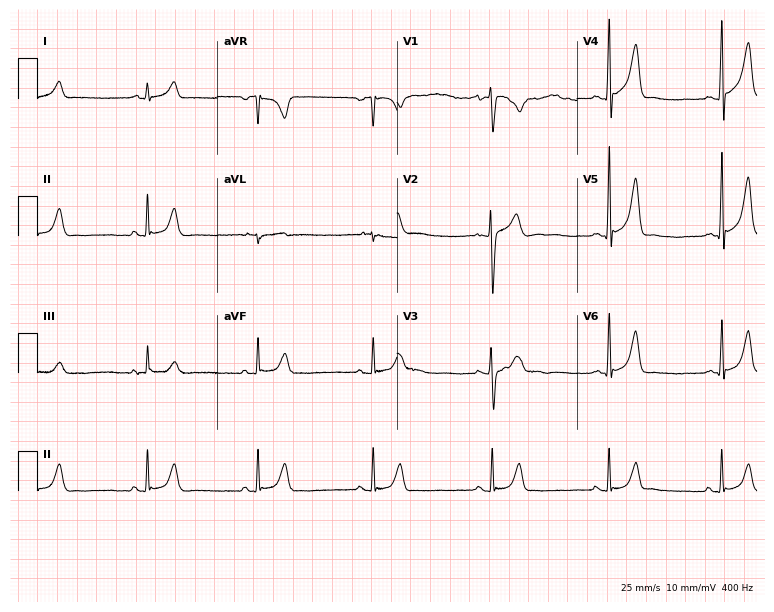
Resting 12-lead electrocardiogram. Patient: a male, 18 years old. None of these six findings is recorded: first-degree AV block, right bundle branch block, left bundle branch block, sinus bradycardia, atrial fibrillation, sinus tachycardia.